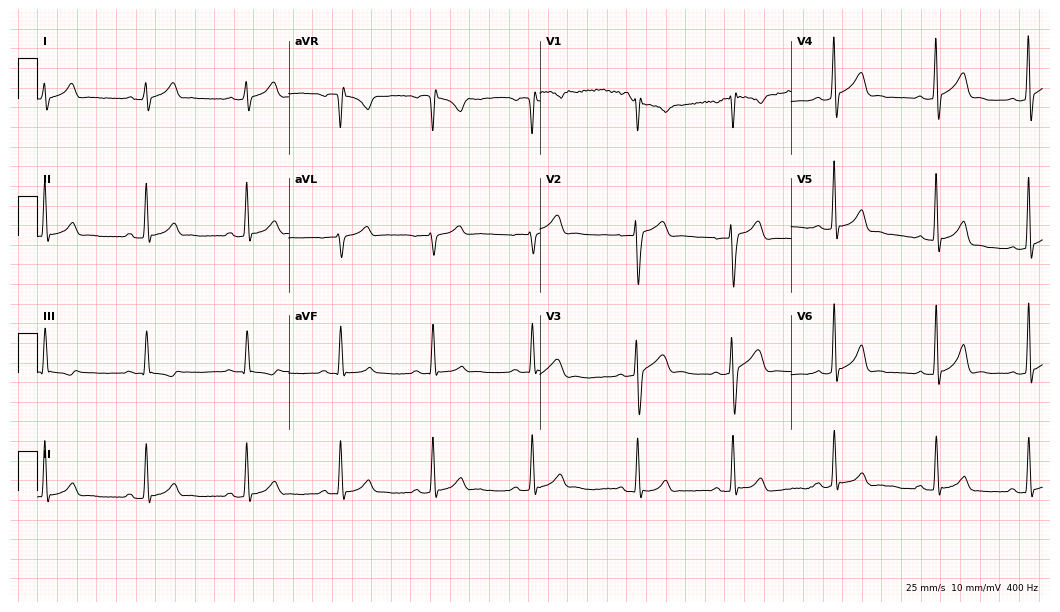
Standard 12-lead ECG recorded from a man, 28 years old (10.2-second recording at 400 Hz). Read as a normal ECG.